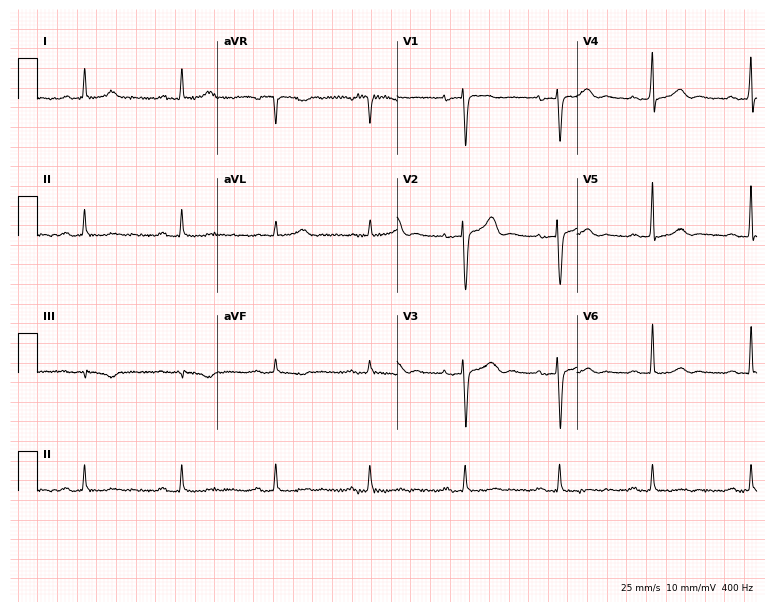
12-lead ECG (7.3-second recording at 400 Hz) from a female, 50 years old. Labelled as a normal ECG.